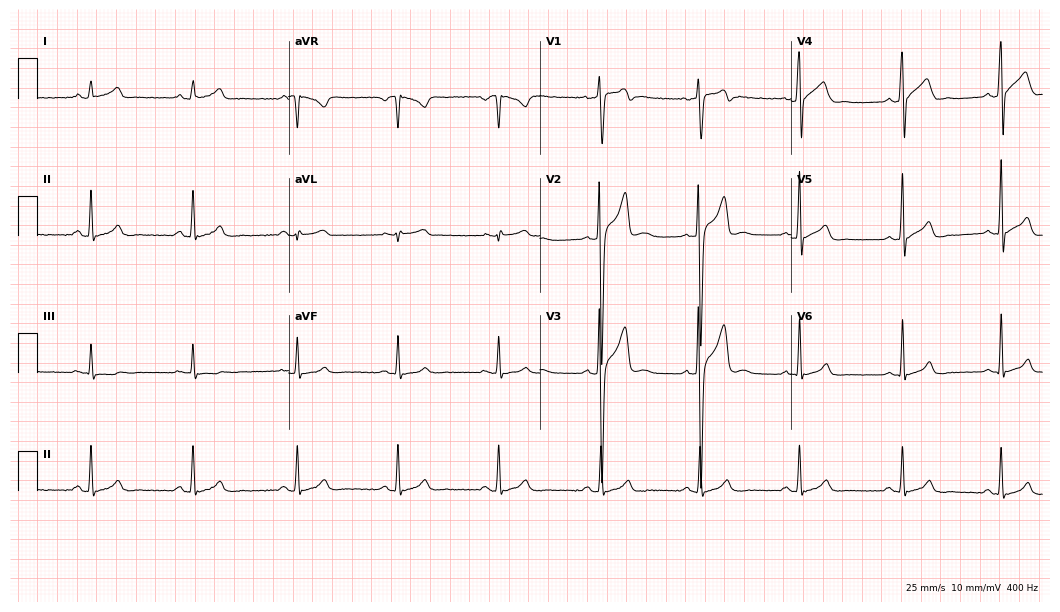
Resting 12-lead electrocardiogram. Patient: a 24-year-old male. Read as a normal ECG.